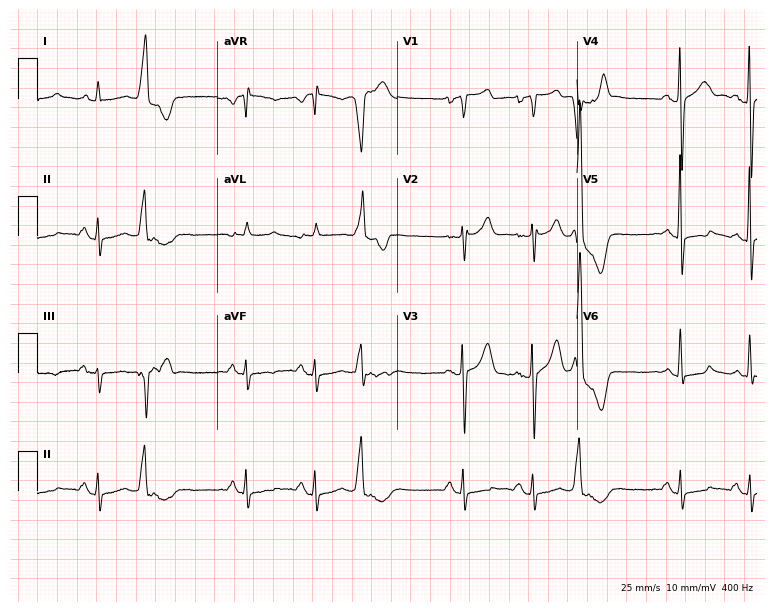
Resting 12-lead electrocardiogram (7.3-second recording at 400 Hz). Patient: a 63-year-old male. None of these six findings is recorded: first-degree AV block, right bundle branch block, left bundle branch block, sinus bradycardia, atrial fibrillation, sinus tachycardia. Other findings, if any, are not listed.